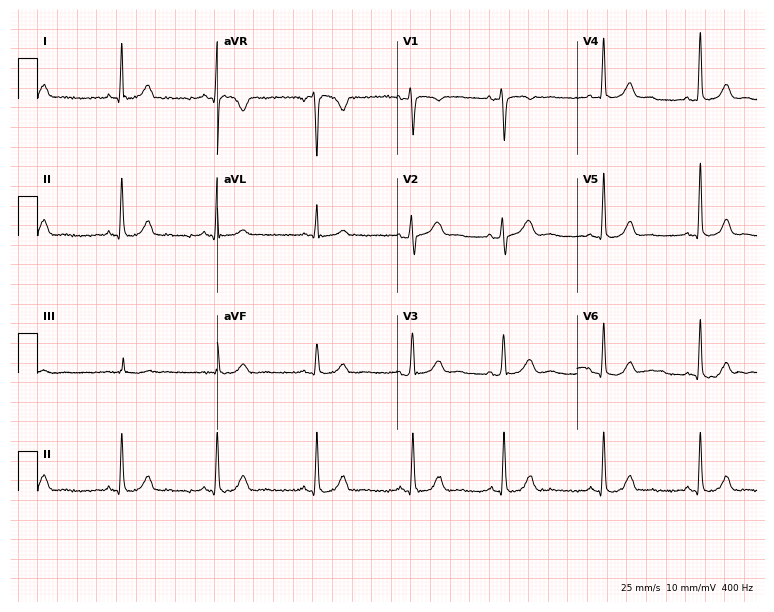
ECG (7.3-second recording at 400 Hz) — a 32-year-old female patient. Labelled as a normal ECG.